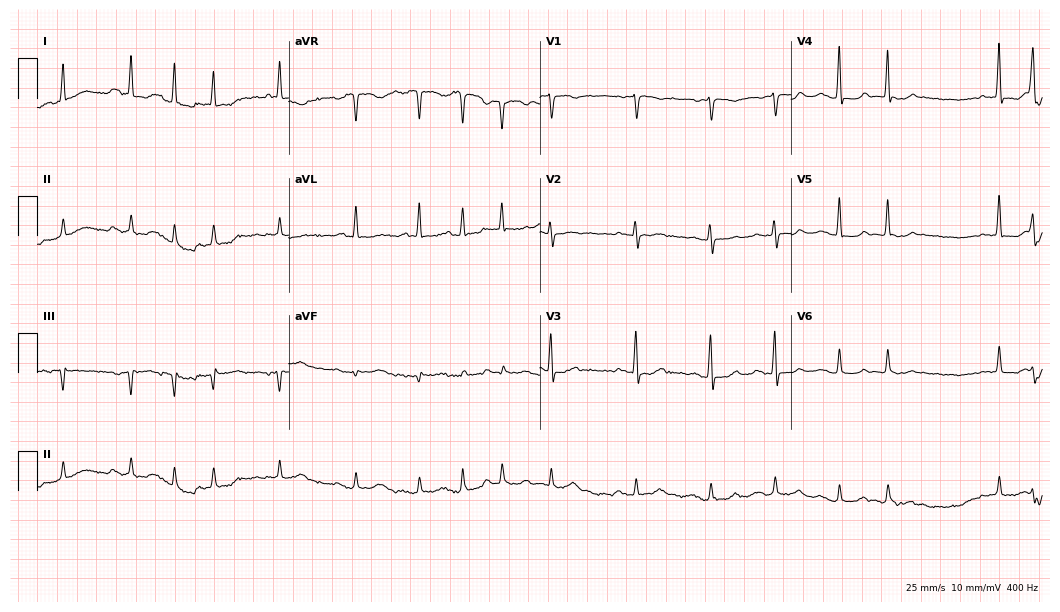
Electrocardiogram (10.2-second recording at 400 Hz), a woman, 90 years old or older. Interpretation includes atrial fibrillation.